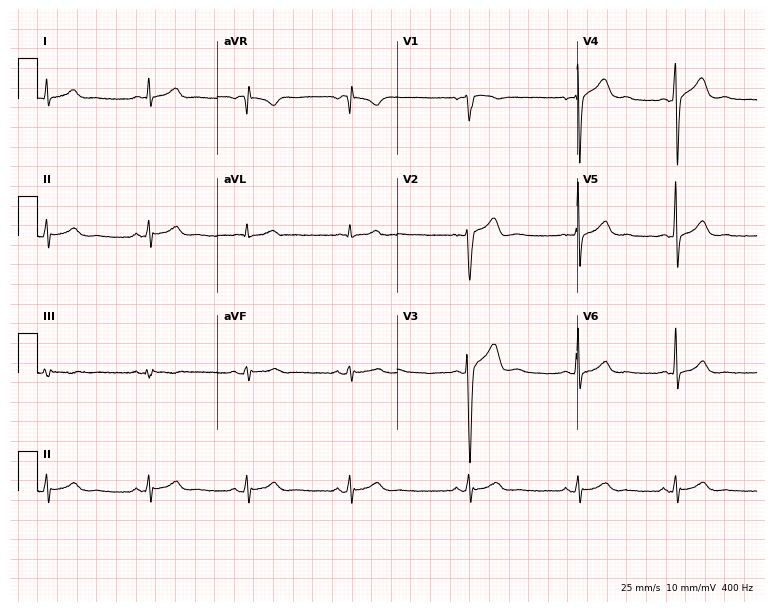
Standard 12-lead ECG recorded from a 33-year-old male patient (7.3-second recording at 400 Hz). Read as a normal ECG.